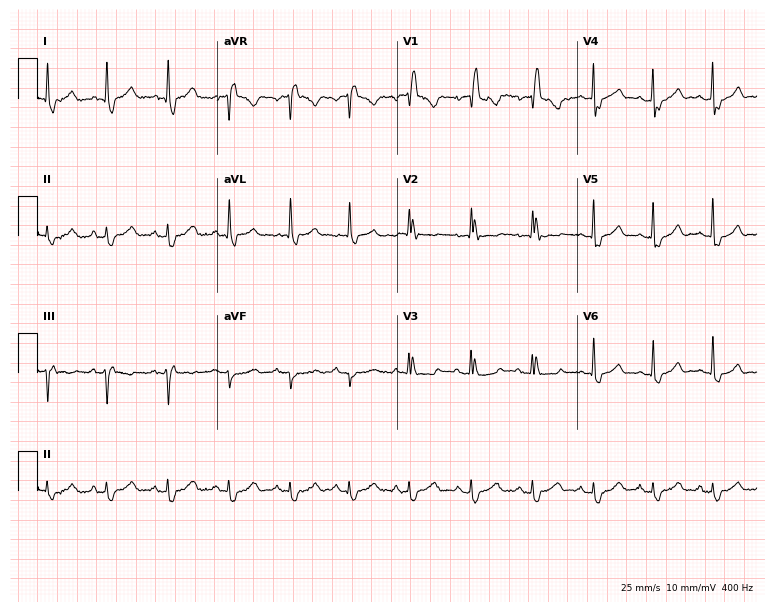
12-lead ECG from a female, 81 years old. Shows right bundle branch block.